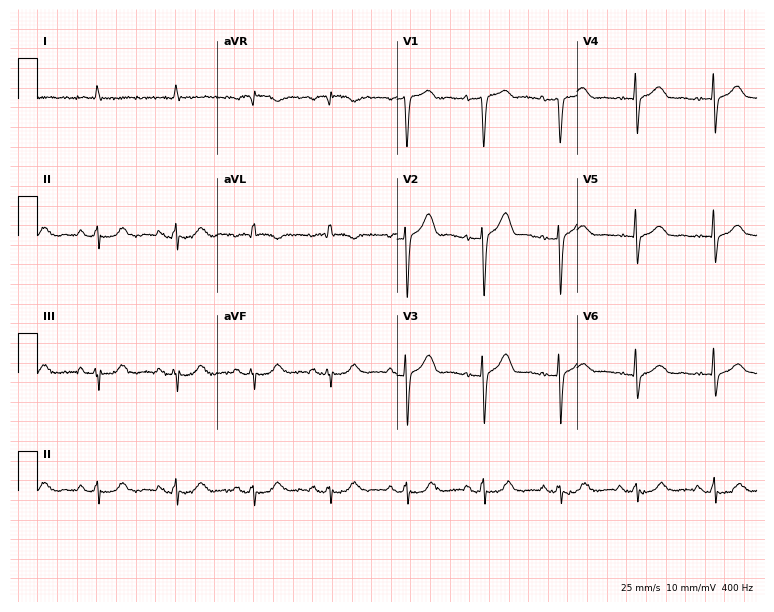
Standard 12-lead ECG recorded from a male, 81 years old. None of these six findings is recorded: first-degree AV block, right bundle branch block (RBBB), left bundle branch block (LBBB), sinus bradycardia, atrial fibrillation (AF), sinus tachycardia.